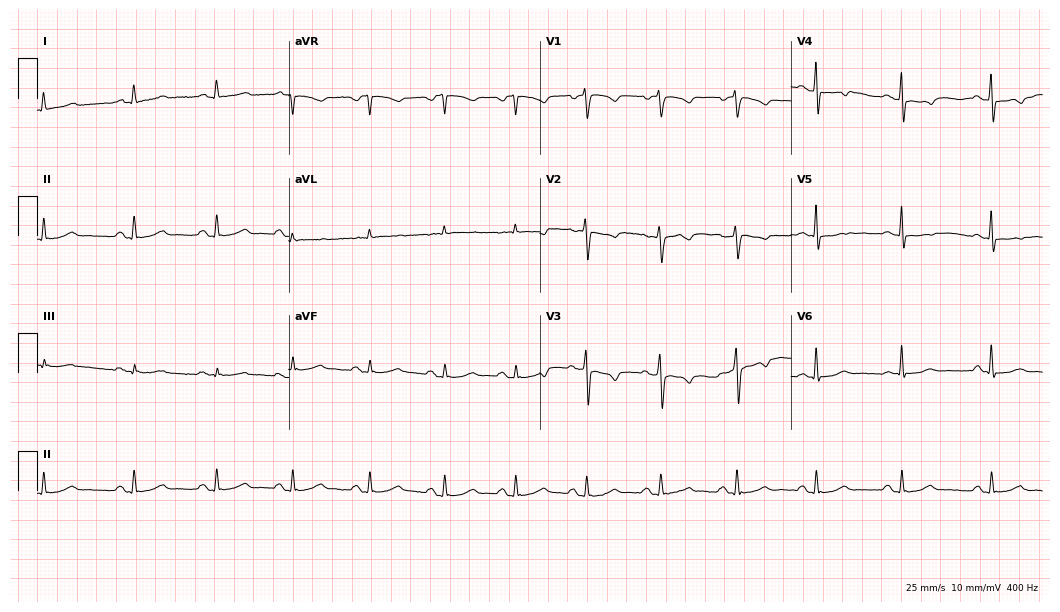
Standard 12-lead ECG recorded from a woman, 51 years old. None of these six findings is recorded: first-degree AV block, right bundle branch block, left bundle branch block, sinus bradycardia, atrial fibrillation, sinus tachycardia. Only these six findings were labelled.